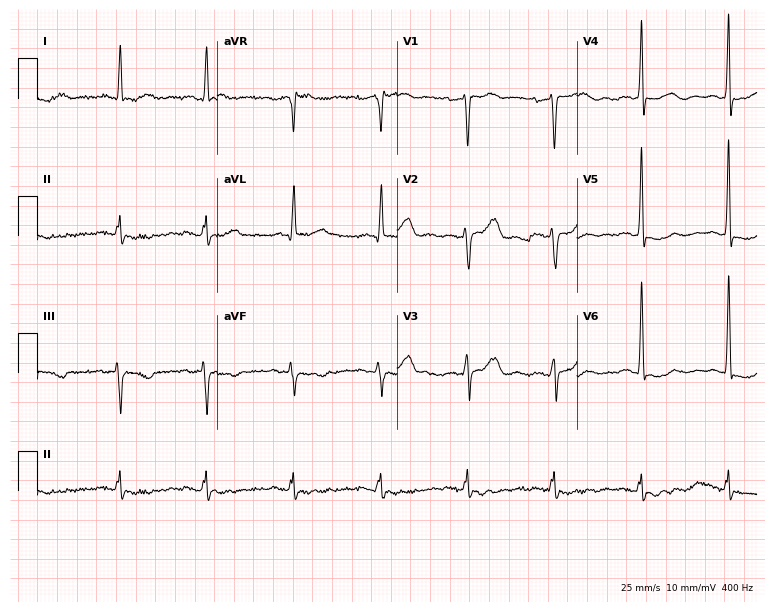
Resting 12-lead electrocardiogram. Patient: a man, 69 years old. None of these six findings is recorded: first-degree AV block, right bundle branch block, left bundle branch block, sinus bradycardia, atrial fibrillation, sinus tachycardia. Findings outside these six are not listed.